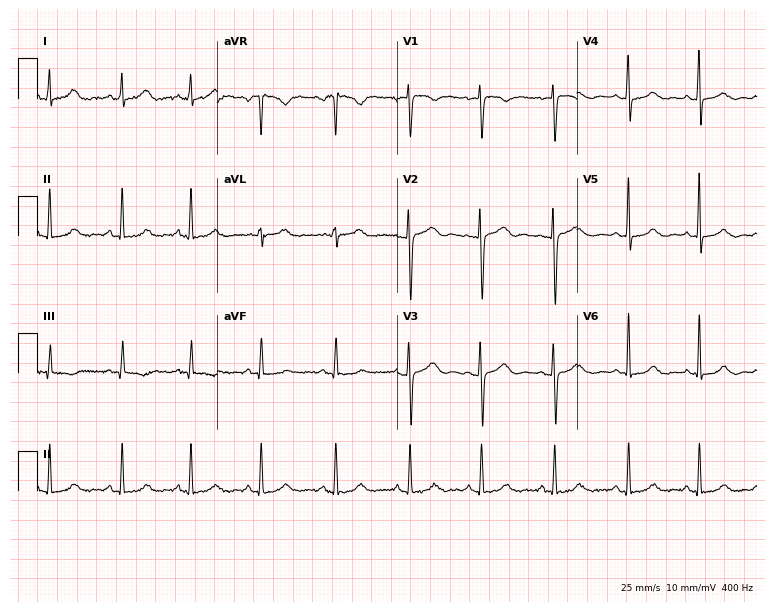
Standard 12-lead ECG recorded from a woman, 37 years old. Read as a normal ECG.